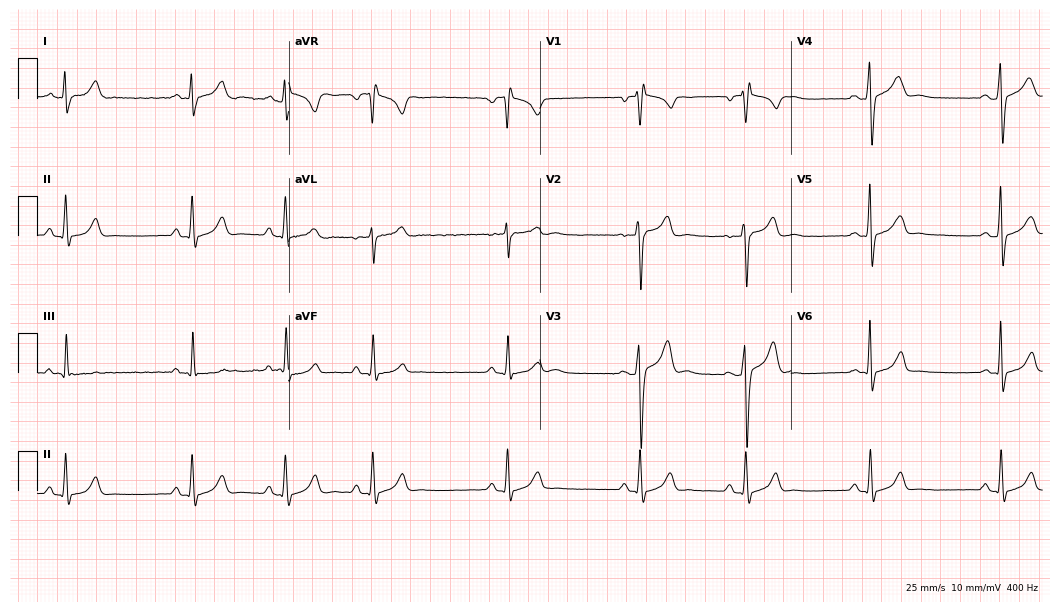
12-lead ECG from a male patient, 19 years old. Screened for six findings — first-degree AV block, right bundle branch block, left bundle branch block, sinus bradycardia, atrial fibrillation, sinus tachycardia — none is recorded. Only these six findings were labelled.